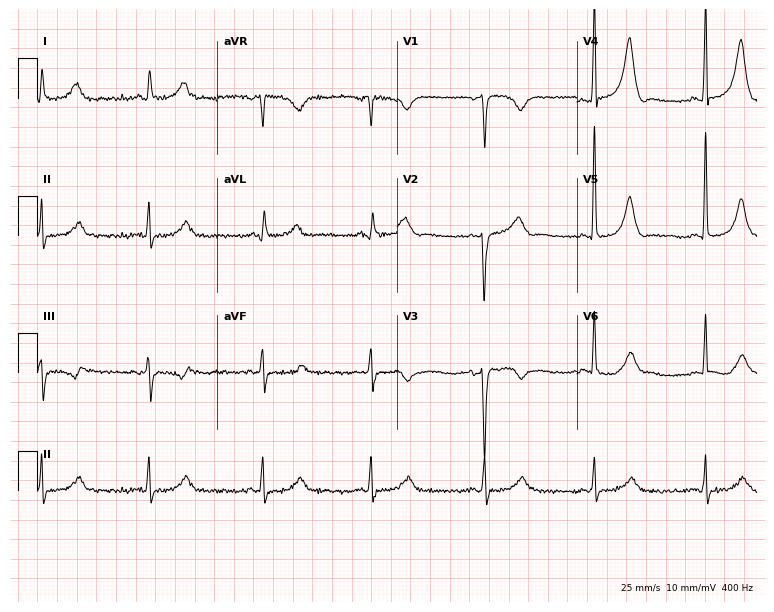
Electrocardiogram (7.3-second recording at 400 Hz), a 71-year-old male. Of the six screened findings (first-degree AV block, right bundle branch block, left bundle branch block, sinus bradycardia, atrial fibrillation, sinus tachycardia), none is recorded.